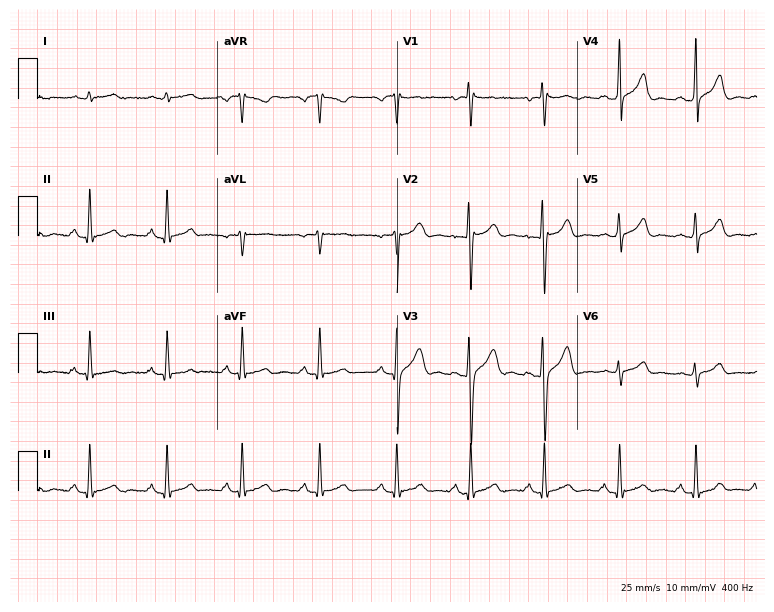
ECG — a 24-year-old man. Labelled as a normal ECG.